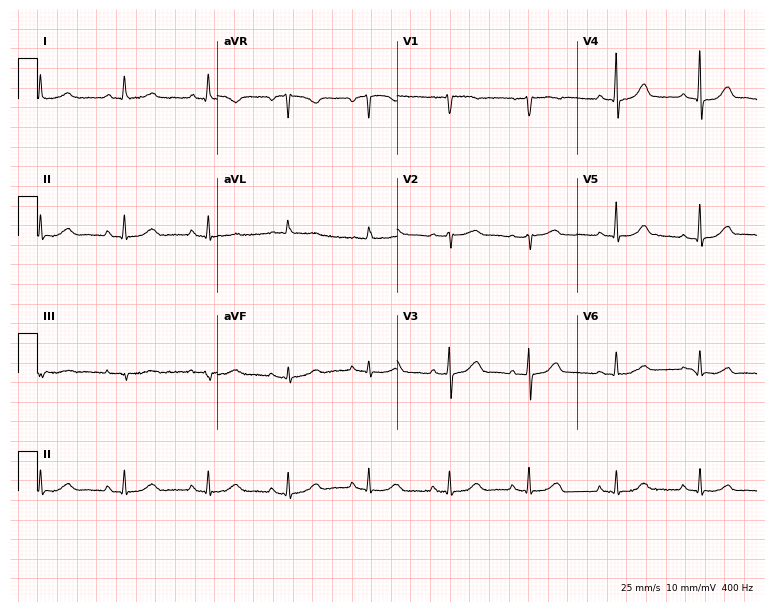
Resting 12-lead electrocardiogram. Patient: a 63-year-old woman. Read as a normal ECG.